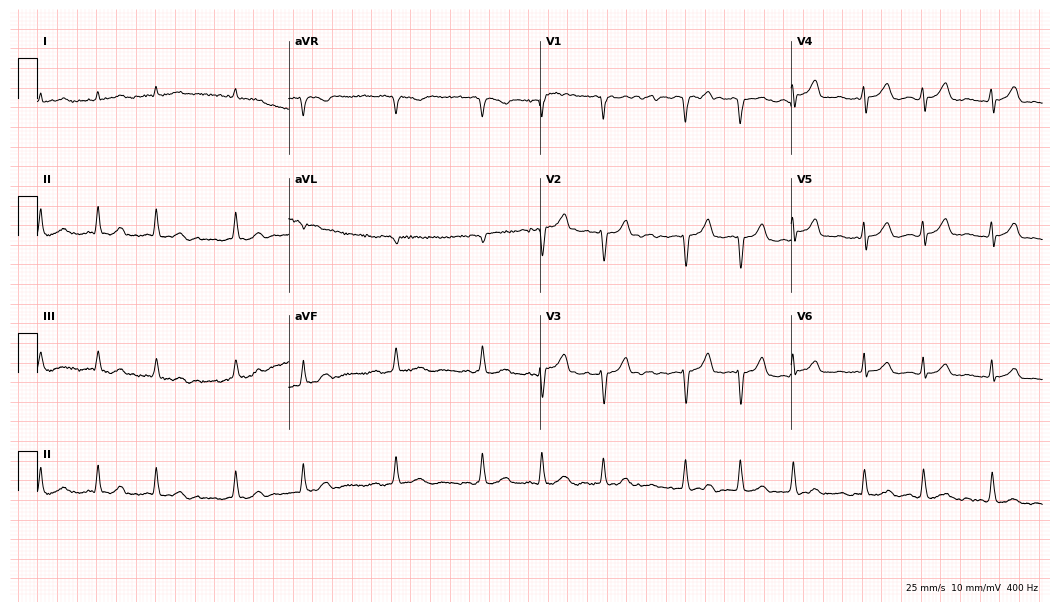
12-lead ECG from a male patient, 80 years old. Findings include atrial fibrillation.